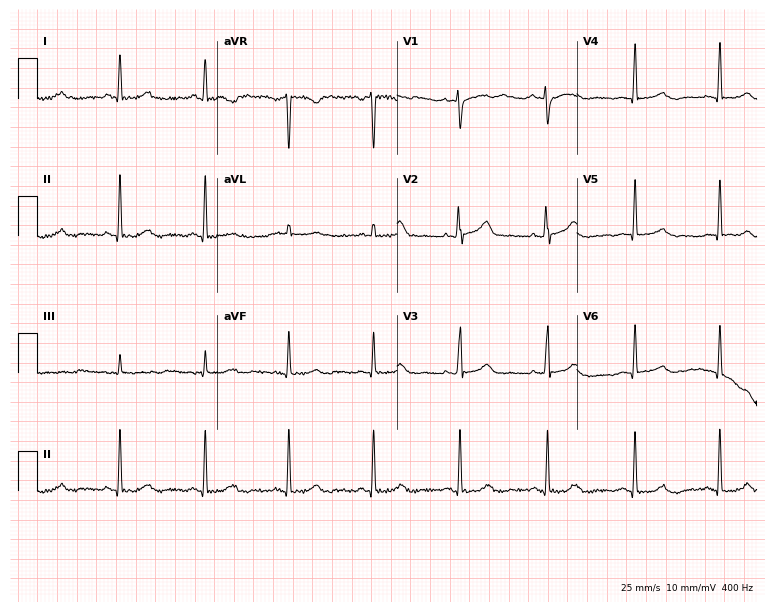
ECG (7.3-second recording at 400 Hz) — a 53-year-old female. Screened for six findings — first-degree AV block, right bundle branch block, left bundle branch block, sinus bradycardia, atrial fibrillation, sinus tachycardia — none is recorded. Findings outside these six are not listed.